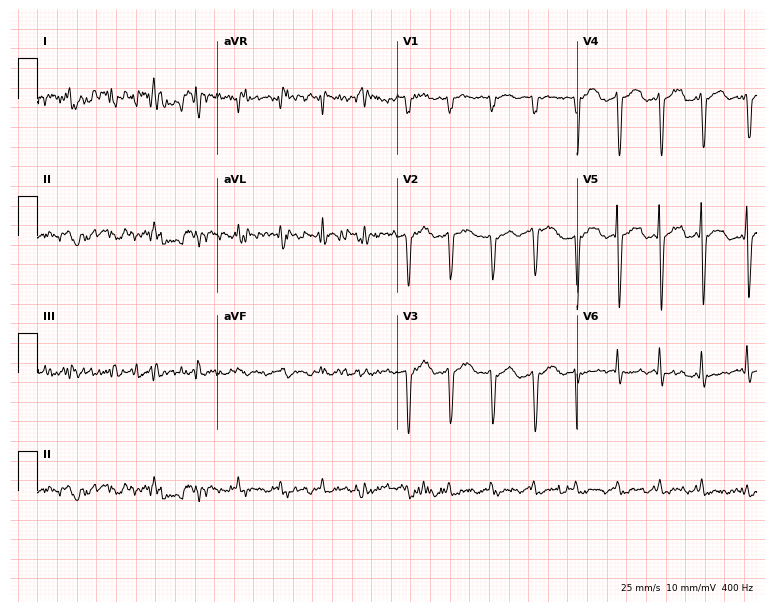
12-lead ECG (7.3-second recording at 400 Hz) from a man, 82 years old. Screened for six findings — first-degree AV block, right bundle branch block, left bundle branch block, sinus bradycardia, atrial fibrillation, sinus tachycardia — none is recorded. Only these six findings were labelled.